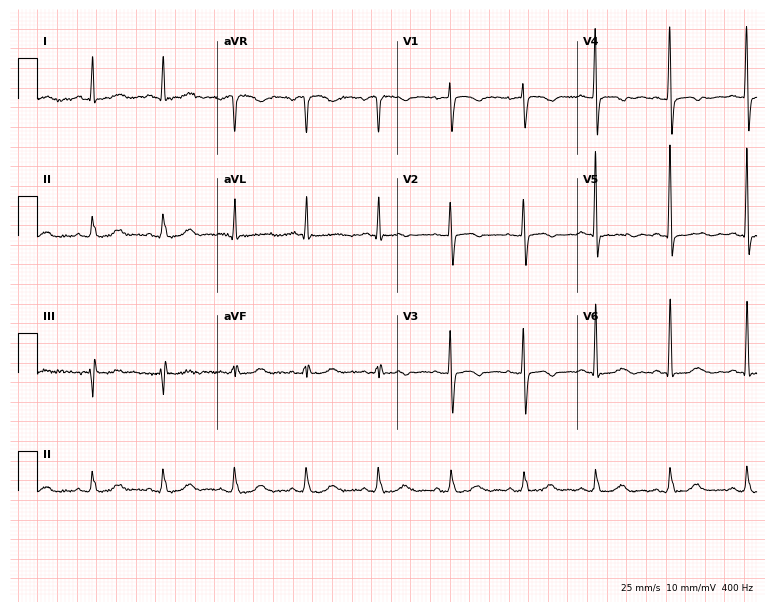
Electrocardiogram, a 79-year-old female. Of the six screened findings (first-degree AV block, right bundle branch block, left bundle branch block, sinus bradycardia, atrial fibrillation, sinus tachycardia), none is recorded.